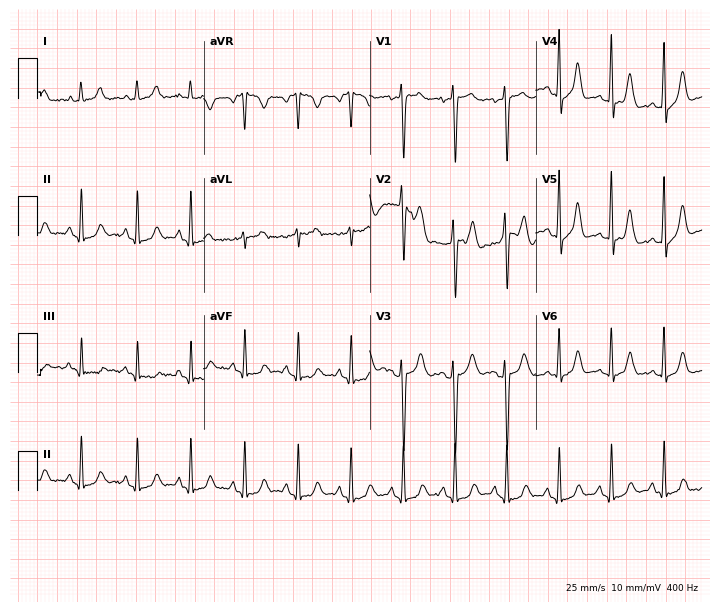
12-lead ECG (6.8-second recording at 400 Hz) from a female, 20 years old. Screened for six findings — first-degree AV block, right bundle branch block (RBBB), left bundle branch block (LBBB), sinus bradycardia, atrial fibrillation (AF), sinus tachycardia — none is recorded. Other findings, if any, are not listed.